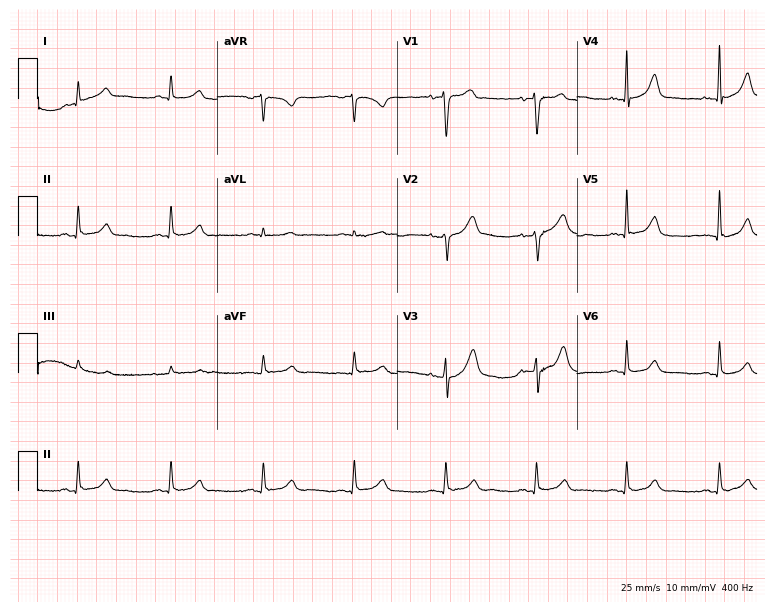
12-lead ECG from a man, 55 years old. Recorded interpretation: within normal limits.